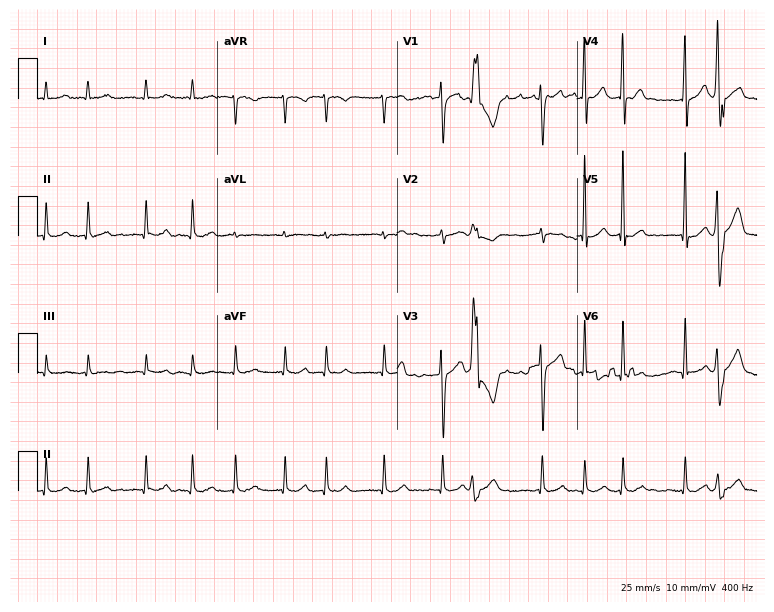
12-lead ECG from a 73-year-old woman (7.3-second recording at 400 Hz). Shows atrial fibrillation (AF).